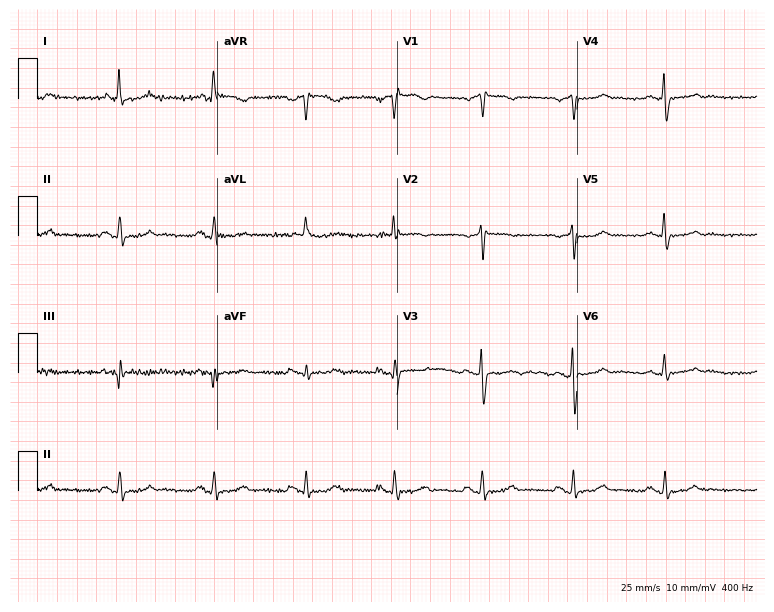
12-lead ECG (7.3-second recording at 400 Hz) from a 63-year-old female patient. Screened for six findings — first-degree AV block, right bundle branch block, left bundle branch block, sinus bradycardia, atrial fibrillation, sinus tachycardia — none is recorded.